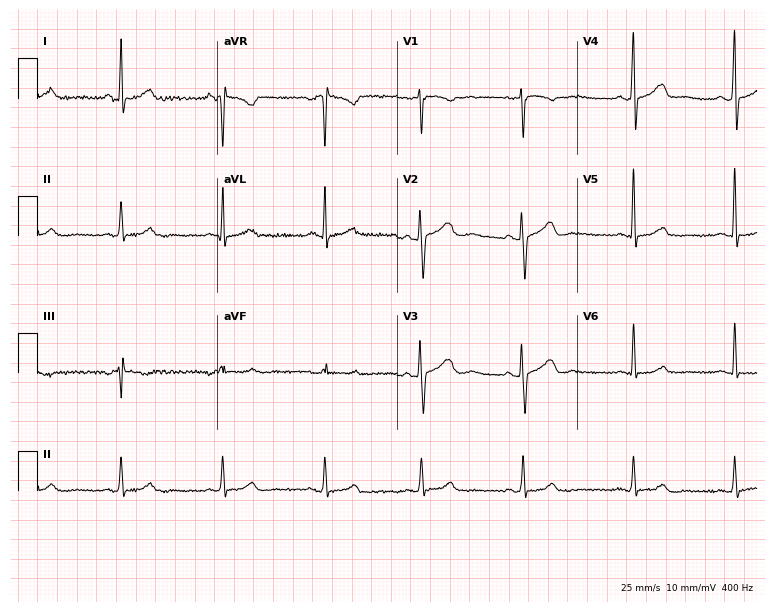
Resting 12-lead electrocardiogram. Patient: a 54-year-old female. None of these six findings is recorded: first-degree AV block, right bundle branch block (RBBB), left bundle branch block (LBBB), sinus bradycardia, atrial fibrillation (AF), sinus tachycardia. Findings outside these six are not listed.